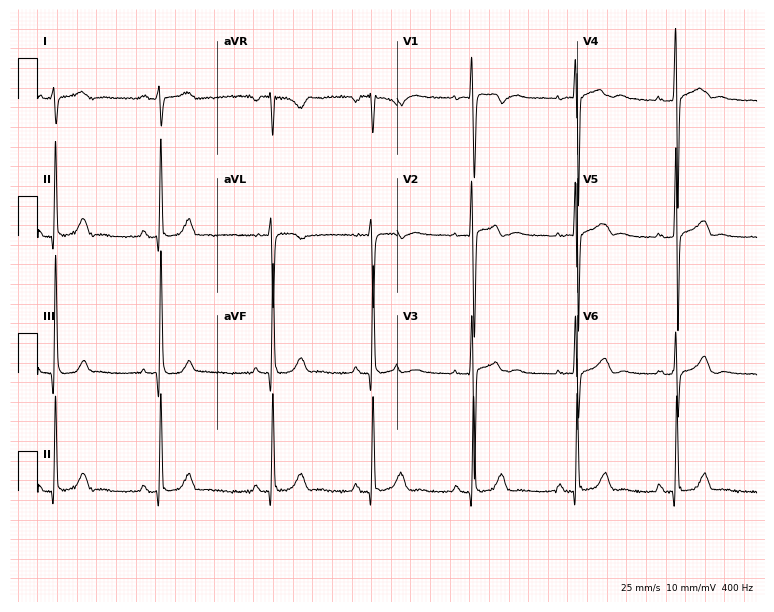
Electrocardiogram (7.3-second recording at 400 Hz), a male, 21 years old. Of the six screened findings (first-degree AV block, right bundle branch block (RBBB), left bundle branch block (LBBB), sinus bradycardia, atrial fibrillation (AF), sinus tachycardia), none is recorded.